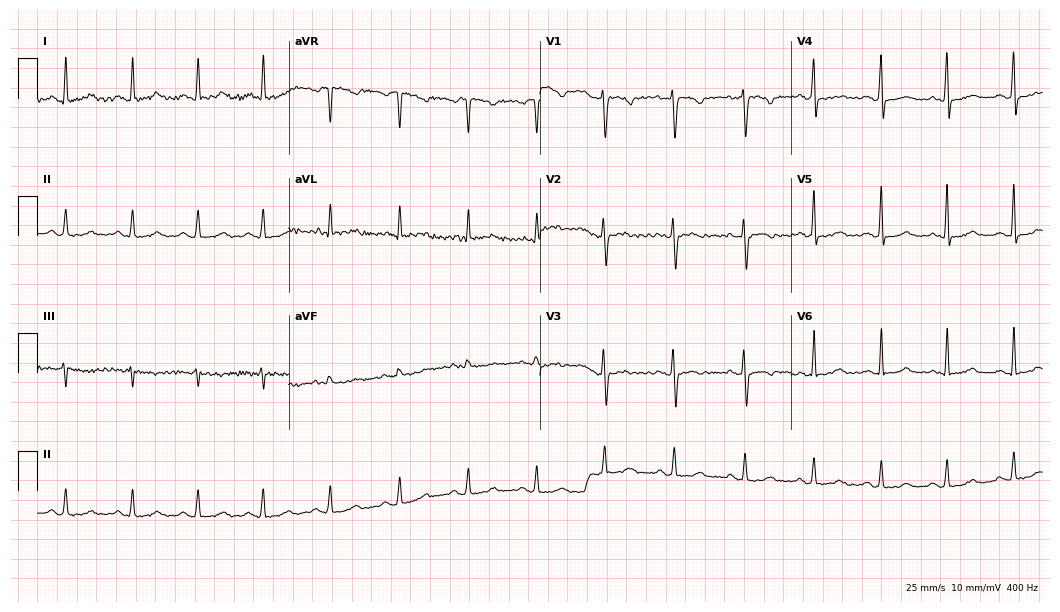
ECG — a female, 33 years old. Screened for six findings — first-degree AV block, right bundle branch block (RBBB), left bundle branch block (LBBB), sinus bradycardia, atrial fibrillation (AF), sinus tachycardia — none is recorded. Only these six findings were labelled.